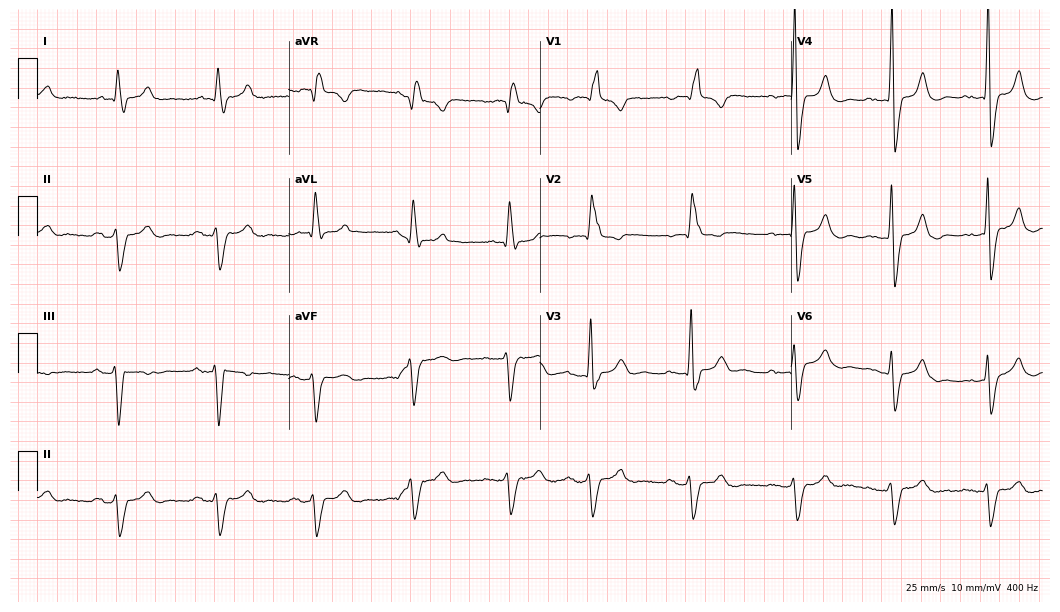
Electrocardiogram, a 78-year-old male. Interpretation includes right bundle branch block (RBBB), left bundle branch block (LBBB).